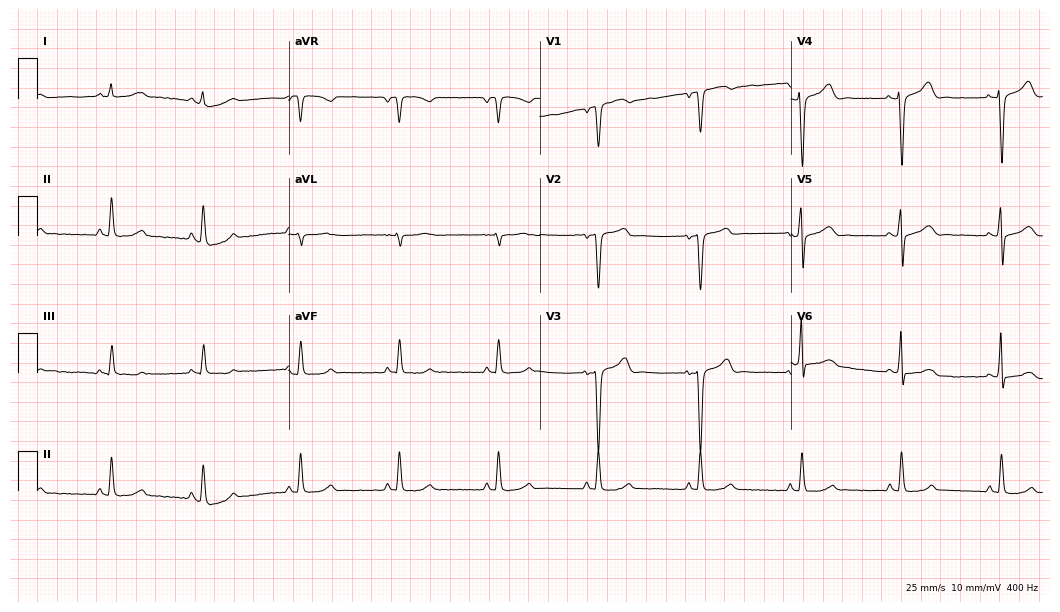
ECG (10.2-second recording at 400 Hz) — a man, 52 years old. Screened for six findings — first-degree AV block, right bundle branch block (RBBB), left bundle branch block (LBBB), sinus bradycardia, atrial fibrillation (AF), sinus tachycardia — none is recorded.